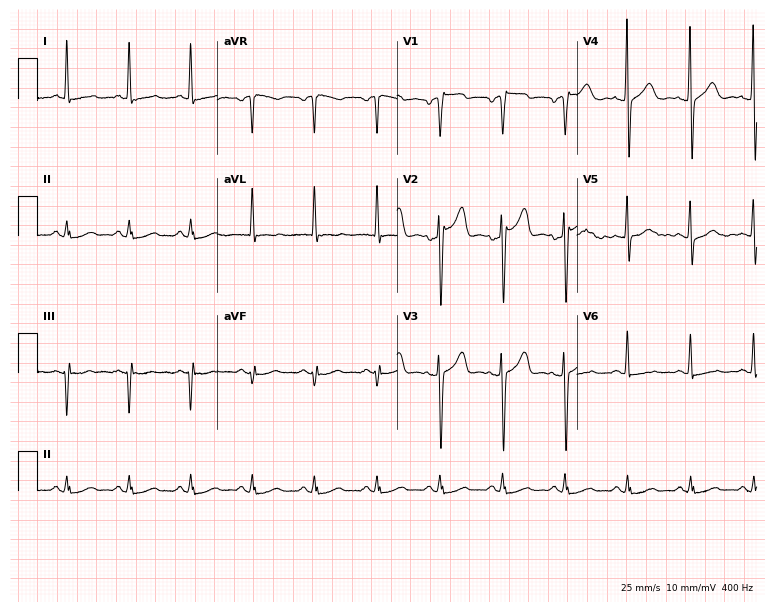
12-lead ECG from a 68-year-old man. No first-degree AV block, right bundle branch block (RBBB), left bundle branch block (LBBB), sinus bradycardia, atrial fibrillation (AF) or sinus tachycardia recorded for this tracing. Other findings, if any, are not listed.